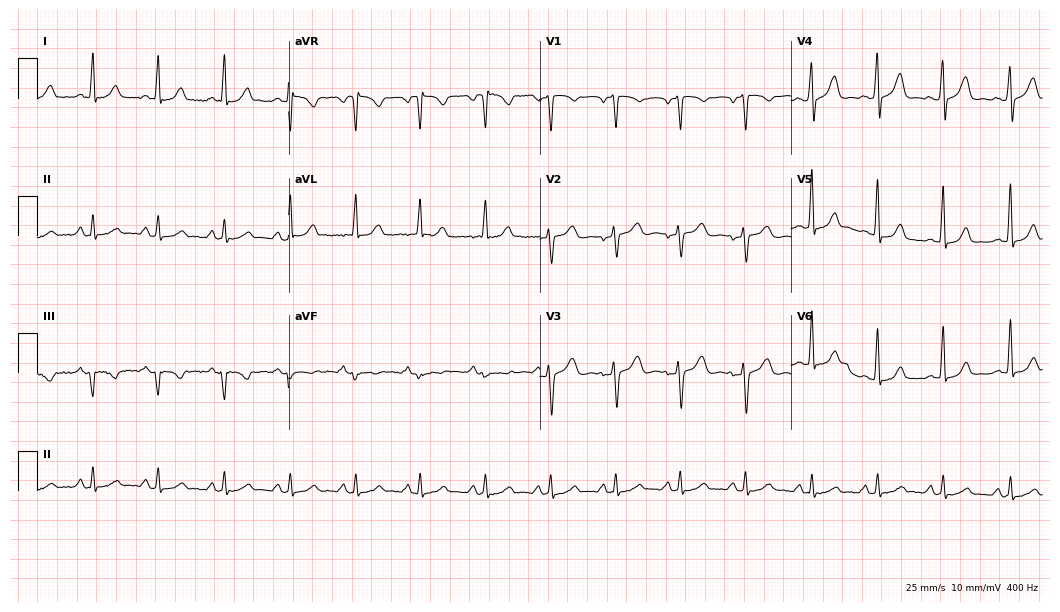
12-lead ECG from a female patient, 43 years old (10.2-second recording at 400 Hz). Recorded interpretation: within normal limits.